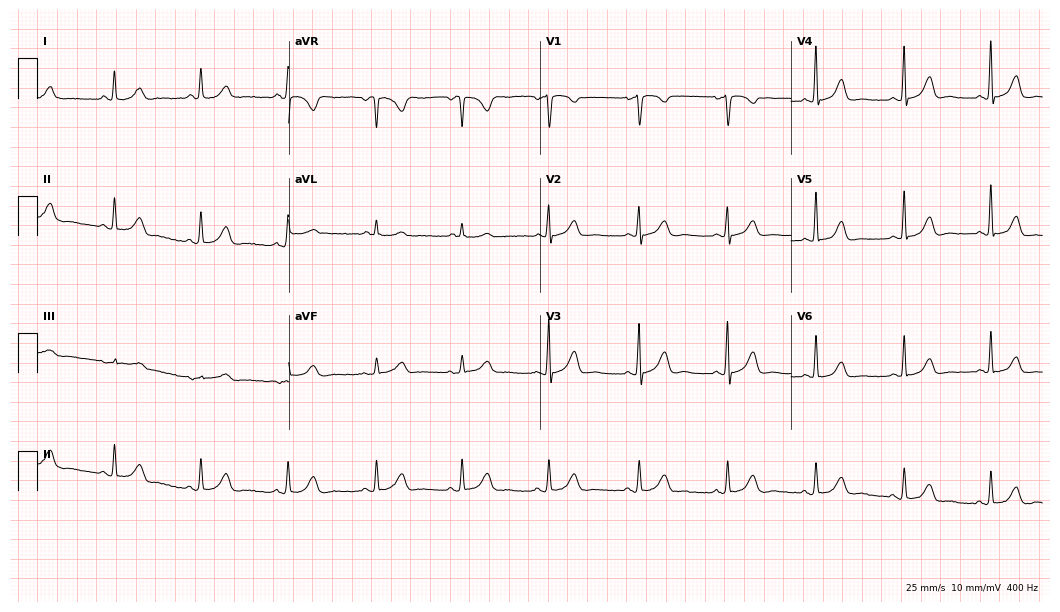
Standard 12-lead ECG recorded from a female, 61 years old. Read as a normal ECG.